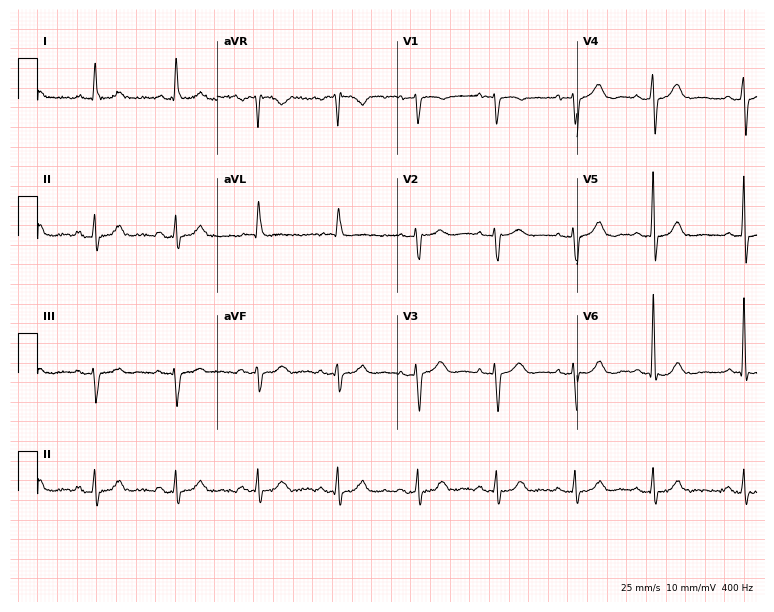
Standard 12-lead ECG recorded from an 85-year-old female. Read as a normal ECG.